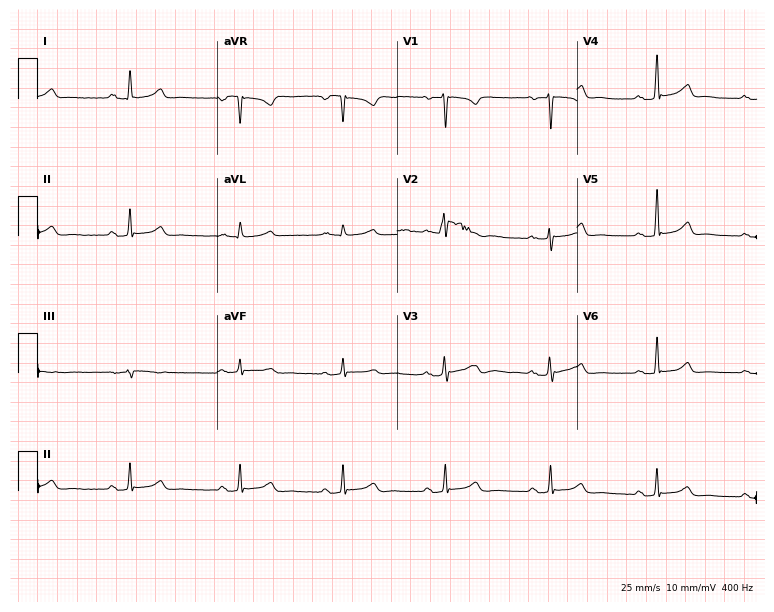
12-lead ECG from a 49-year-old female. Screened for six findings — first-degree AV block, right bundle branch block (RBBB), left bundle branch block (LBBB), sinus bradycardia, atrial fibrillation (AF), sinus tachycardia — none is recorded.